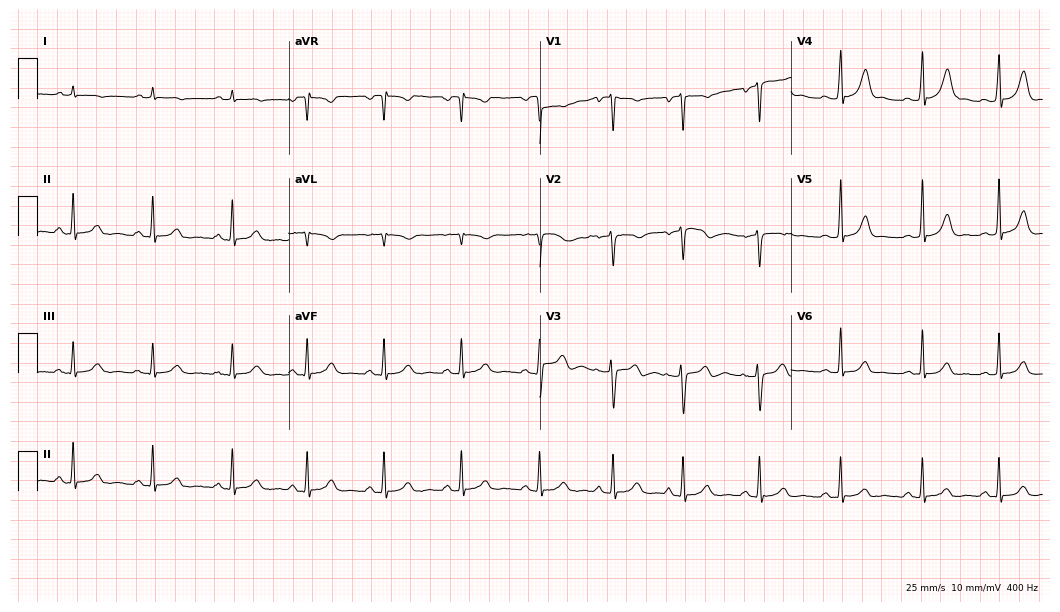
Resting 12-lead electrocardiogram. Patient: a female, 28 years old. Read as a normal ECG.